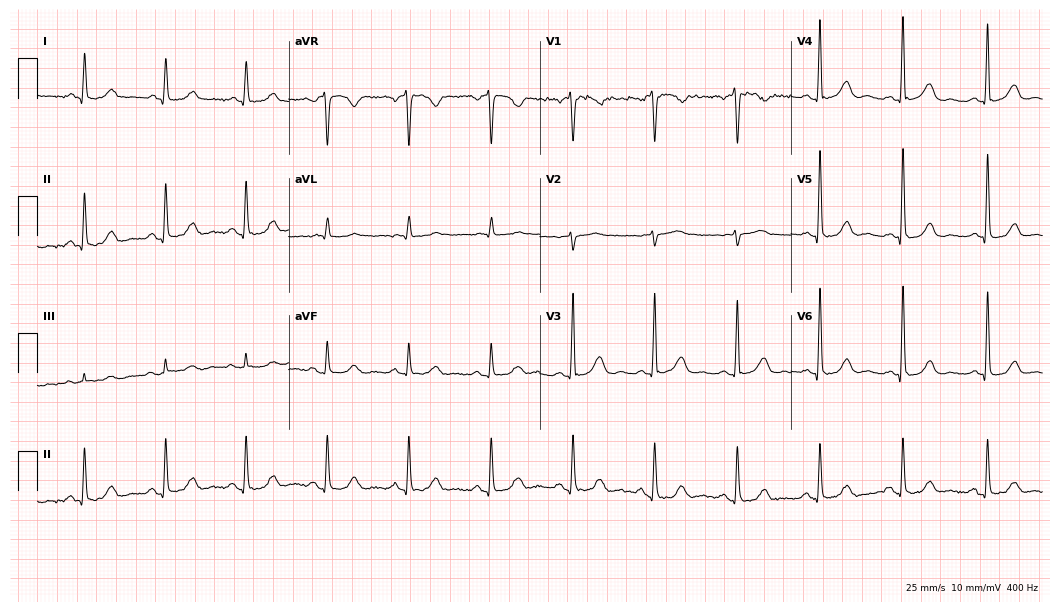
Resting 12-lead electrocardiogram. Patient: a woman, 66 years old. Read as a normal ECG.